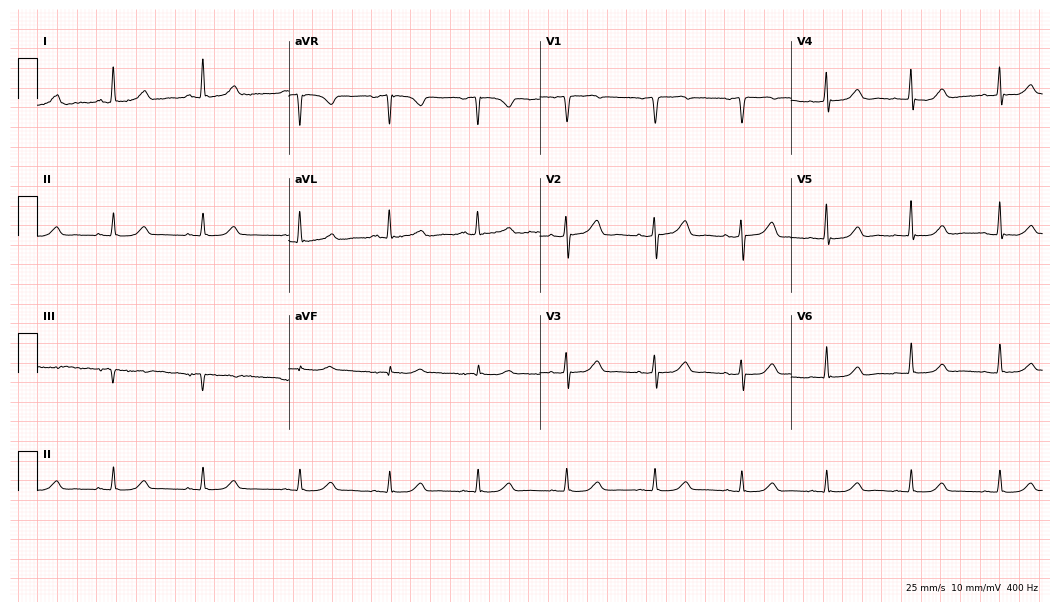
12-lead ECG from a female, 54 years old. Recorded interpretation: within normal limits.